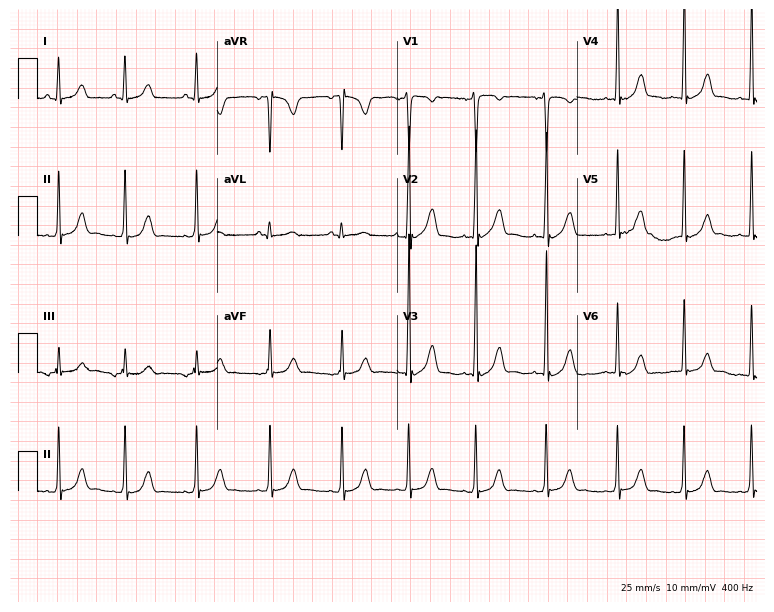
Electrocardiogram, a 17-year-old man. Overall reading on record: normal ECG.